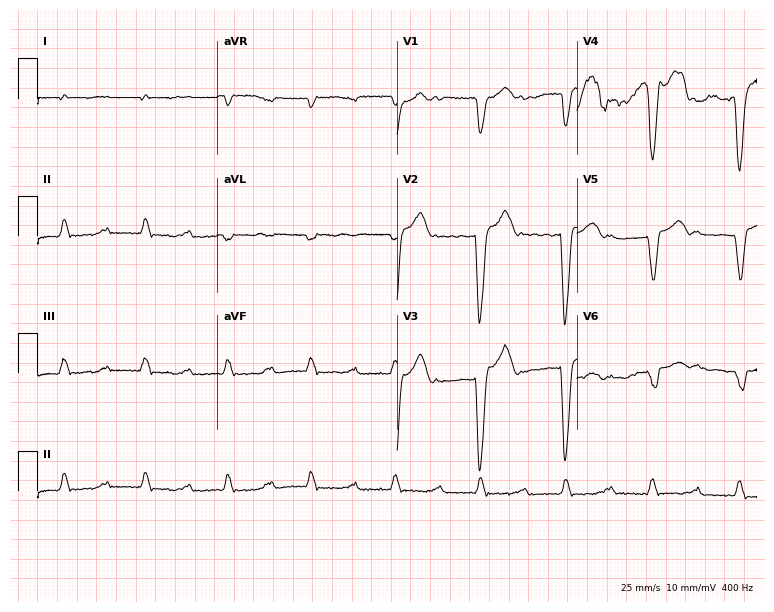
ECG (7.3-second recording at 400 Hz) — a 59-year-old male patient. Screened for six findings — first-degree AV block, right bundle branch block (RBBB), left bundle branch block (LBBB), sinus bradycardia, atrial fibrillation (AF), sinus tachycardia — none is recorded. Other findings, if any, are not listed.